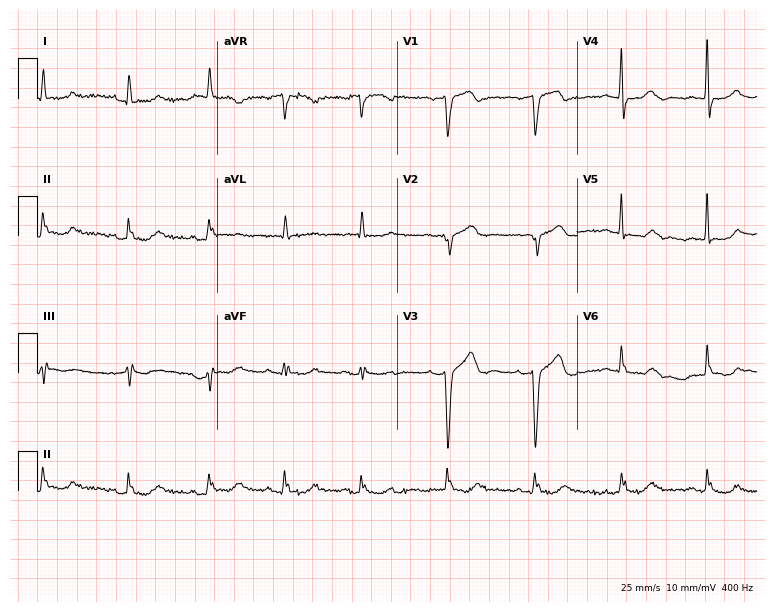
ECG — an 80-year-old man. Screened for six findings — first-degree AV block, right bundle branch block (RBBB), left bundle branch block (LBBB), sinus bradycardia, atrial fibrillation (AF), sinus tachycardia — none is recorded. Only these six findings were labelled.